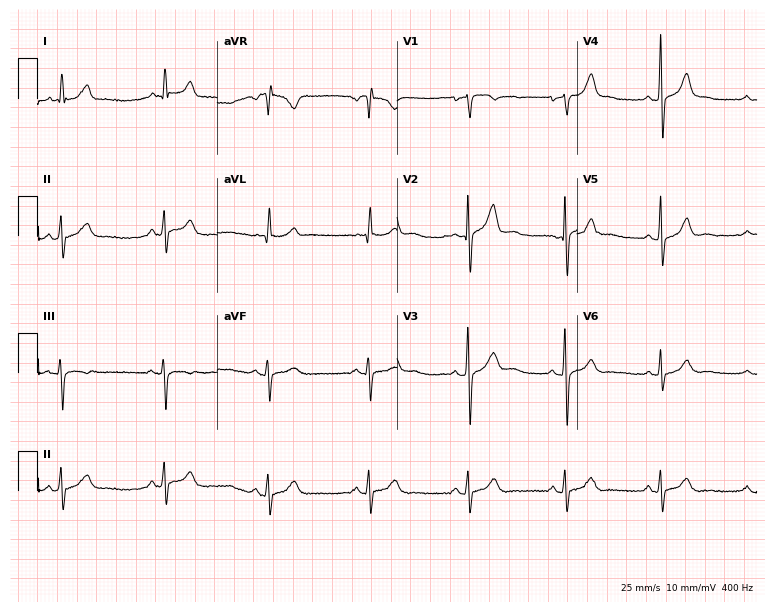
Resting 12-lead electrocardiogram (7.3-second recording at 400 Hz). Patient: a 57-year-old male. Read as a normal ECG.